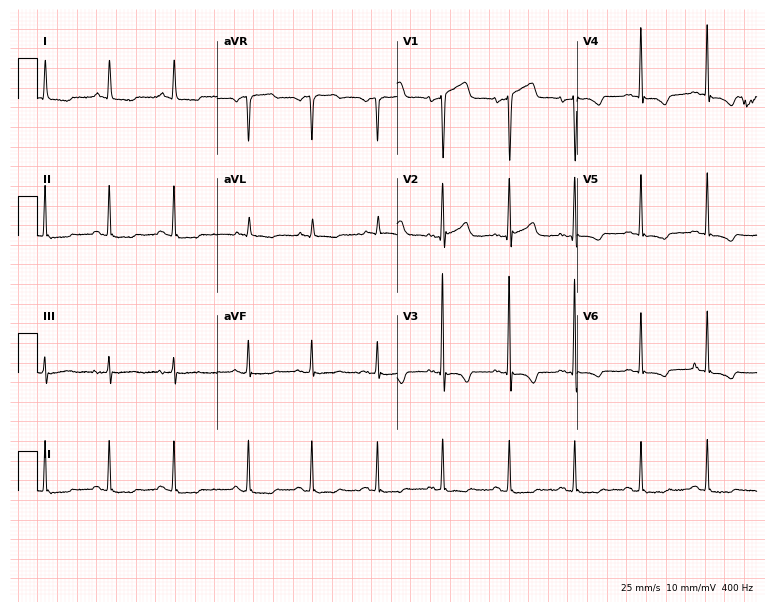
12-lead ECG (7.3-second recording at 400 Hz) from an 82-year-old woman. Screened for six findings — first-degree AV block, right bundle branch block (RBBB), left bundle branch block (LBBB), sinus bradycardia, atrial fibrillation (AF), sinus tachycardia — none is recorded.